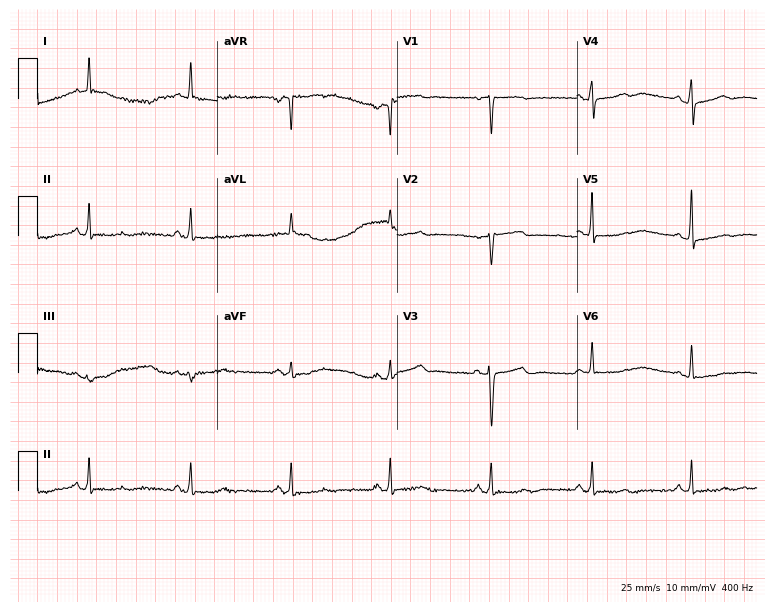
Electrocardiogram (7.3-second recording at 400 Hz), a female patient, 65 years old. Overall reading on record: normal ECG.